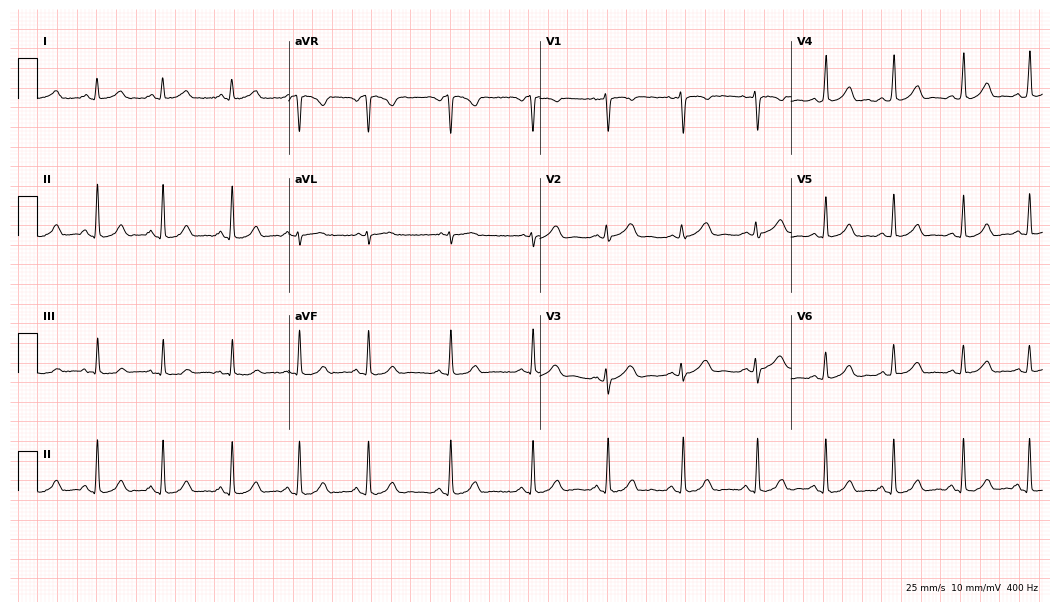
Electrocardiogram (10.2-second recording at 400 Hz), a 23-year-old woman. Of the six screened findings (first-degree AV block, right bundle branch block (RBBB), left bundle branch block (LBBB), sinus bradycardia, atrial fibrillation (AF), sinus tachycardia), none is recorded. Other findings, if any, are not listed.